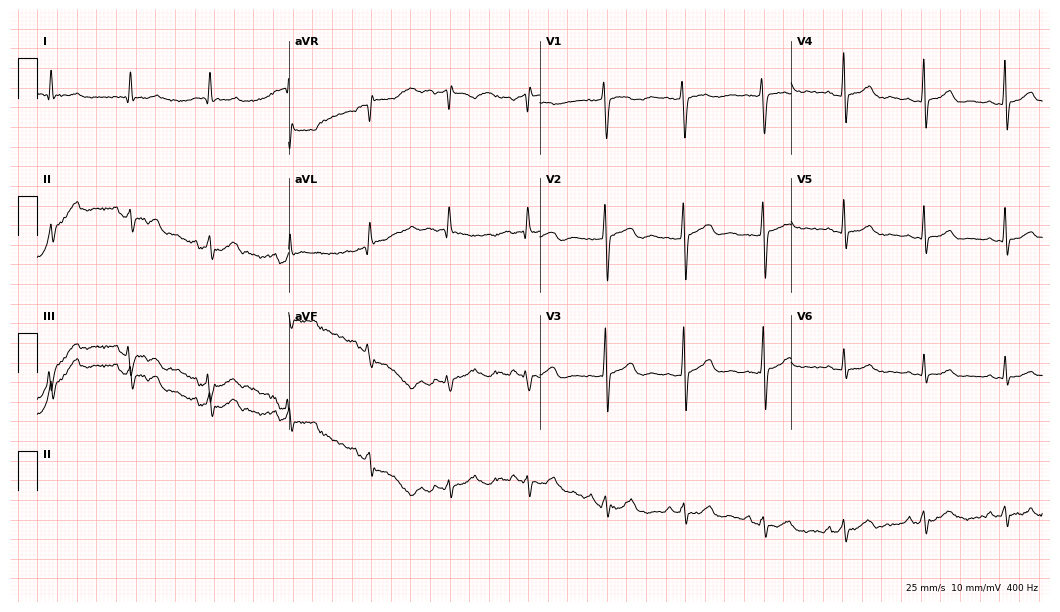
12-lead ECG from a woman, 77 years old. No first-degree AV block, right bundle branch block, left bundle branch block, sinus bradycardia, atrial fibrillation or sinus tachycardia recorded for this tracing. Findings outside these six are not listed.